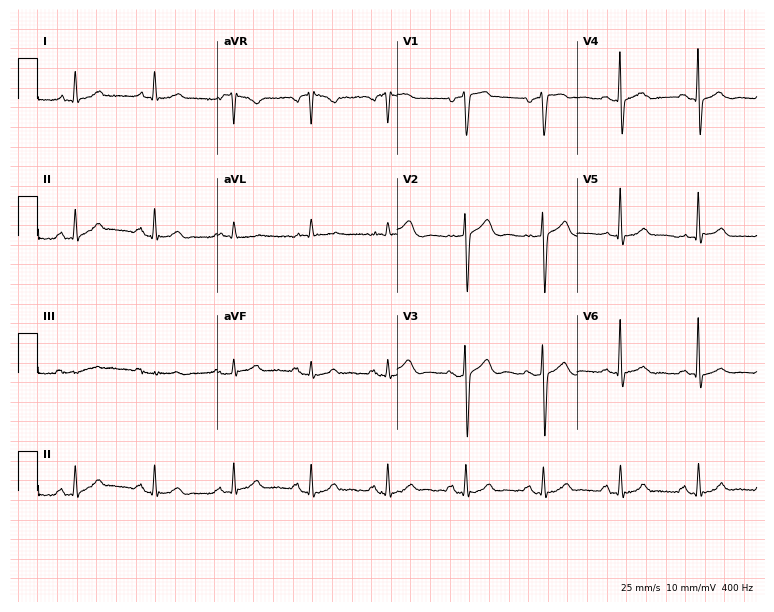
ECG — a male patient, 81 years old. Labelled as a normal ECG.